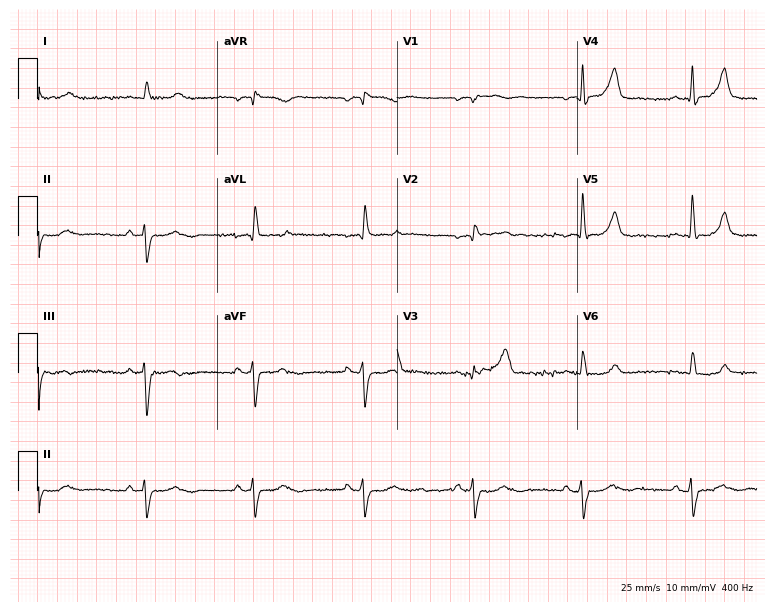
Standard 12-lead ECG recorded from a male patient, 79 years old. None of these six findings is recorded: first-degree AV block, right bundle branch block, left bundle branch block, sinus bradycardia, atrial fibrillation, sinus tachycardia.